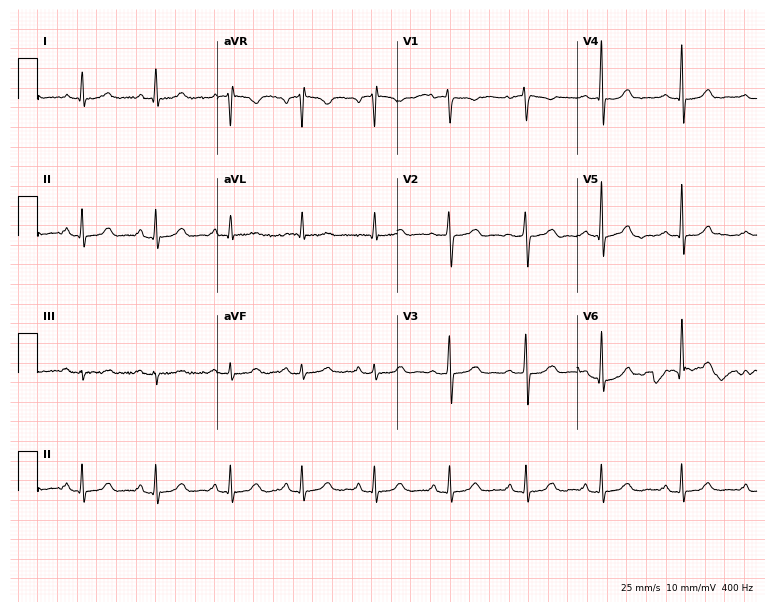
Electrocardiogram (7.3-second recording at 400 Hz), a 45-year-old female. Overall reading on record: normal ECG.